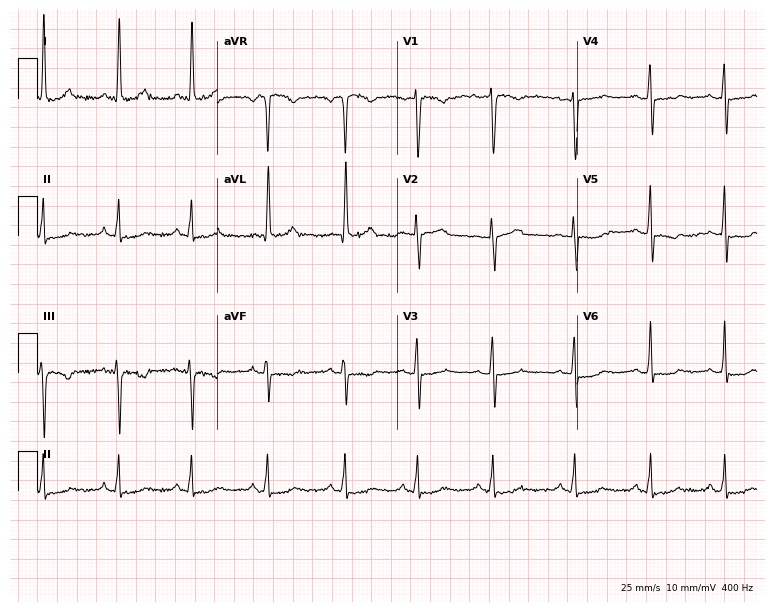
Electrocardiogram (7.3-second recording at 400 Hz), a female, 55 years old. Of the six screened findings (first-degree AV block, right bundle branch block, left bundle branch block, sinus bradycardia, atrial fibrillation, sinus tachycardia), none is recorded.